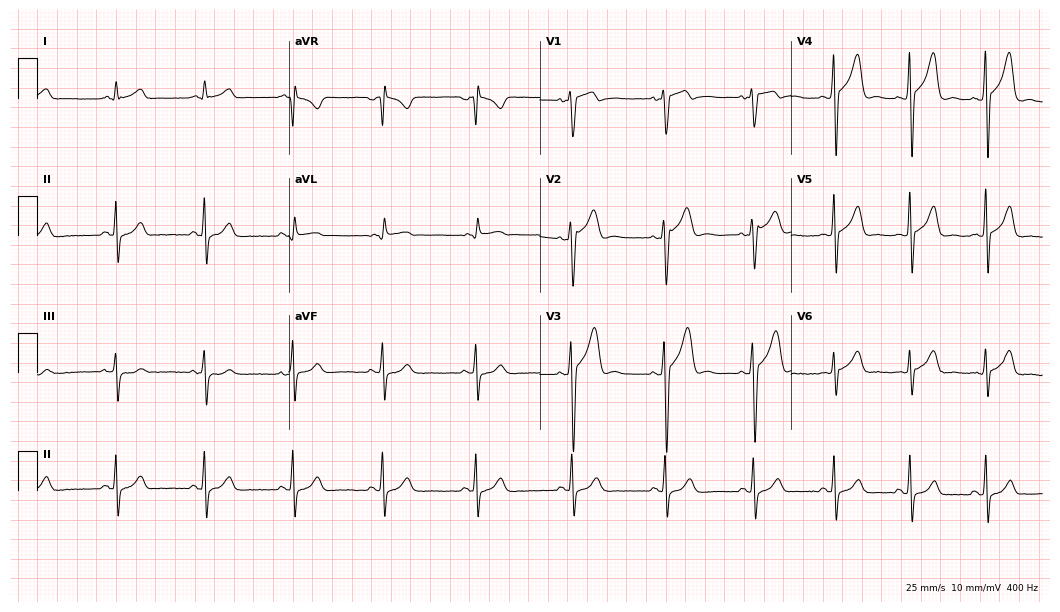
12-lead ECG from a male patient, 22 years old (10.2-second recording at 400 Hz). Recorded interpretation: within normal limits.